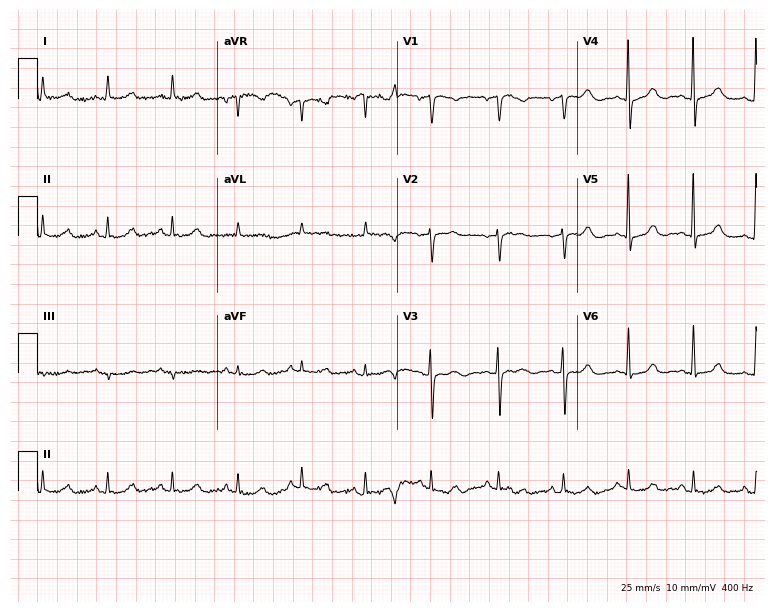
Resting 12-lead electrocardiogram. Patient: a 72-year-old woman. Read as a normal ECG.